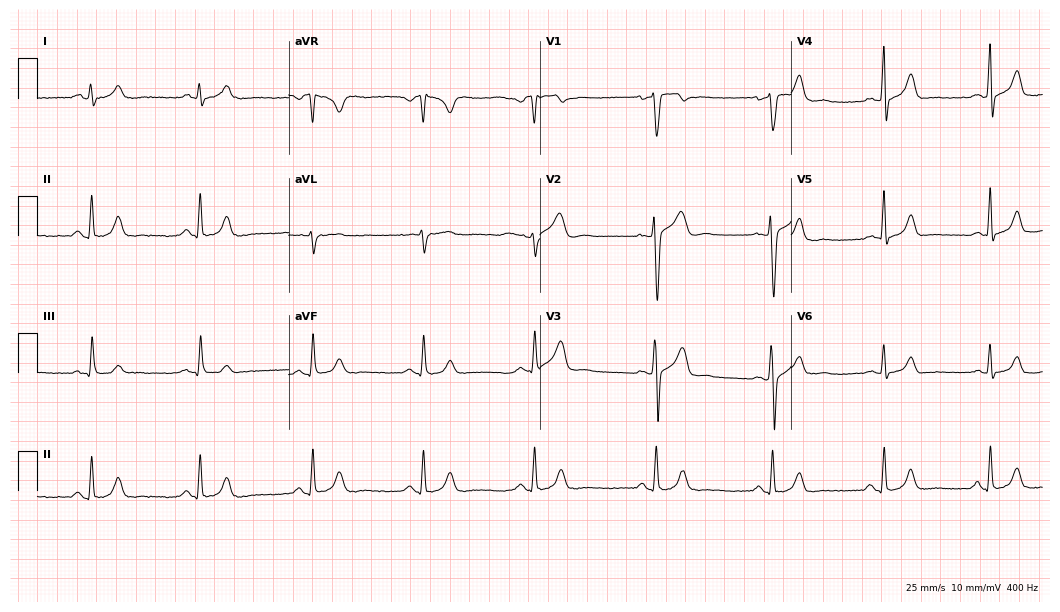
Electrocardiogram, a 35-year-old male. Of the six screened findings (first-degree AV block, right bundle branch block (RBBB), left bundle branch block (LBBB), sinus bradycardia, atrial fibrillation (AF), sinus tachycardia), none is recorded.